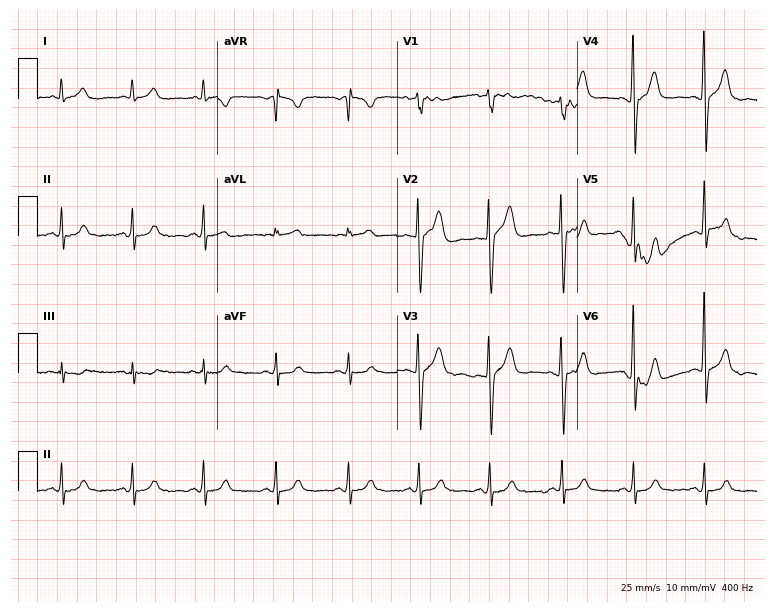
Resting 12-lead electrocardiogram (7.3-second recording at 400 Hz). Patient: a 66-year-old male. Read as a normal ECG.